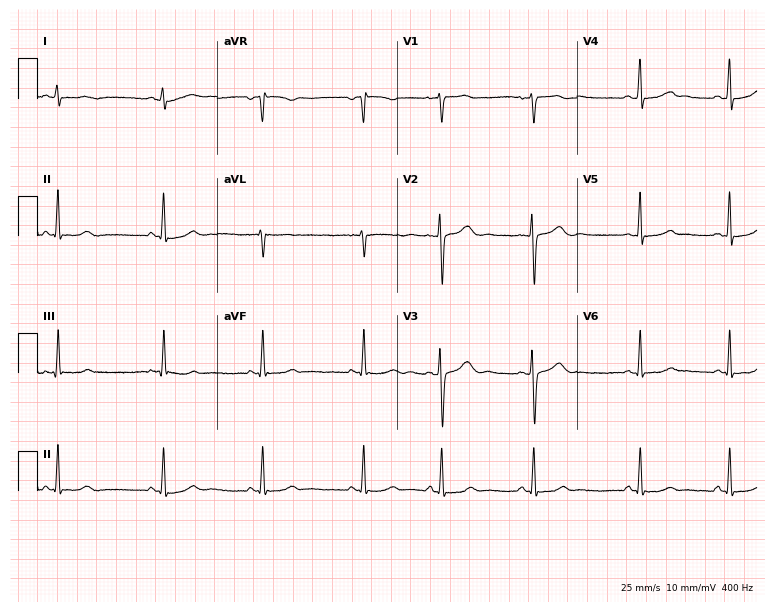
Electrocardiogram, a female patient, 20 years old. Of the six screened findings (first-degree AV block, right bundle branch block, left bundle branch block, sinus bradycardia, atrial fibrillation, sinus tachycardia), none is recorded. Only these six findings were labelled.